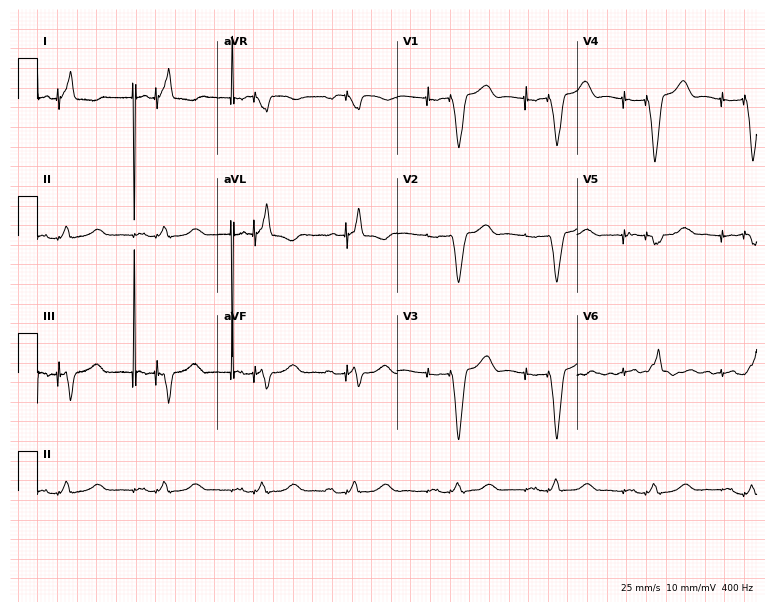
12-lead ECG (7.3-second recording at 400 Hz) from a 55-year-old woman. Screened for six findings — first-degree AV block, right bundle branch block, left bundle branch block, sinus bradycardia, atrial fibrillation, sinus tachycardia — none is recorded. Findings outside these six are not listed.